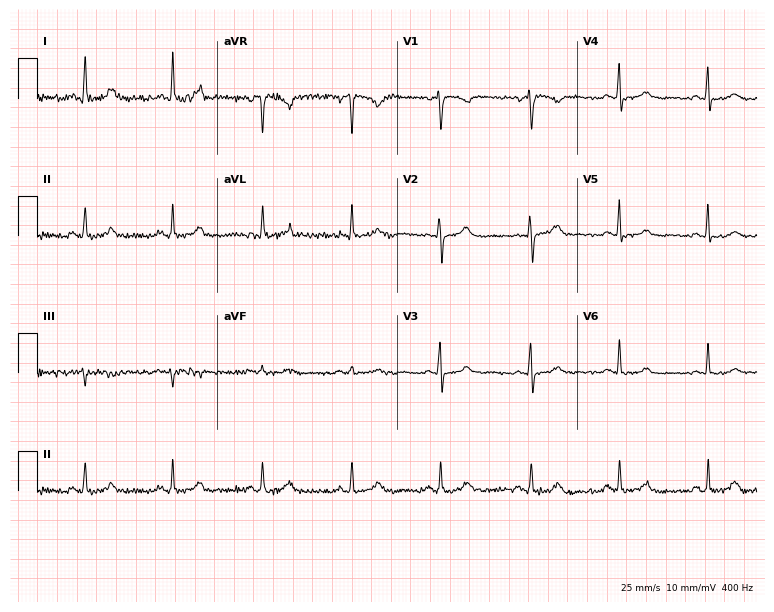
12-lead ECG from a female patient, 54 years old. Labelled as a normal ECG.